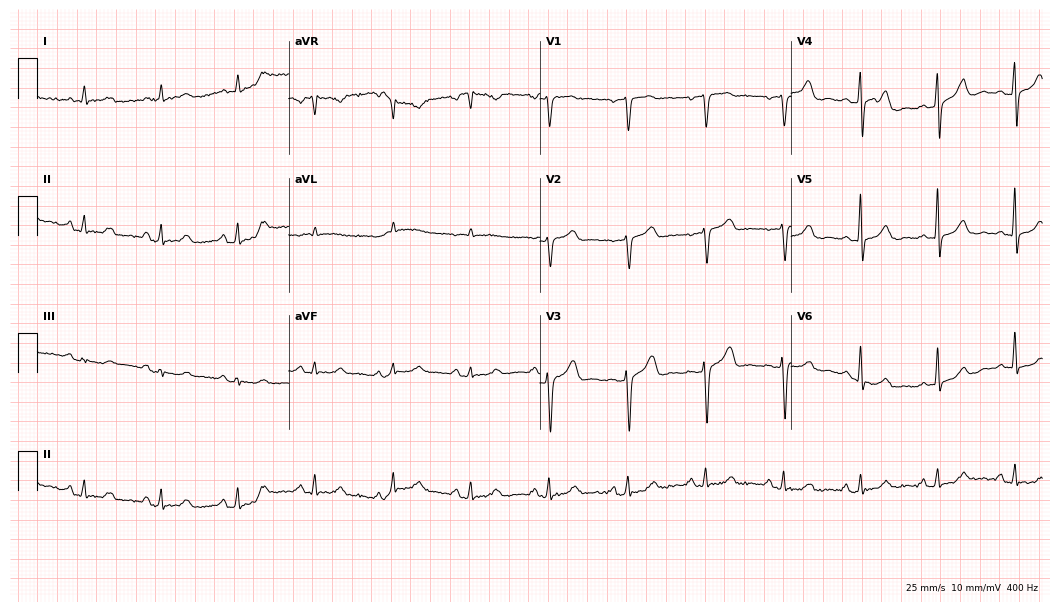
Resting 12-lead electrocardiogram. Patient: an 82-year-old female. Read as a normal ECG.